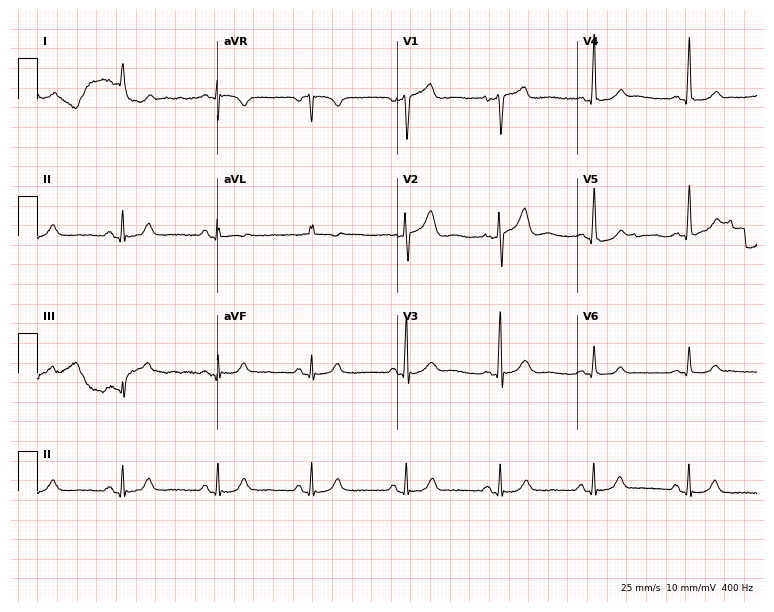
Standard 12-lead ECG recorded from a male patient, 64 years old (7.3-second recording at 400 Hz). Read as a normal ECG.